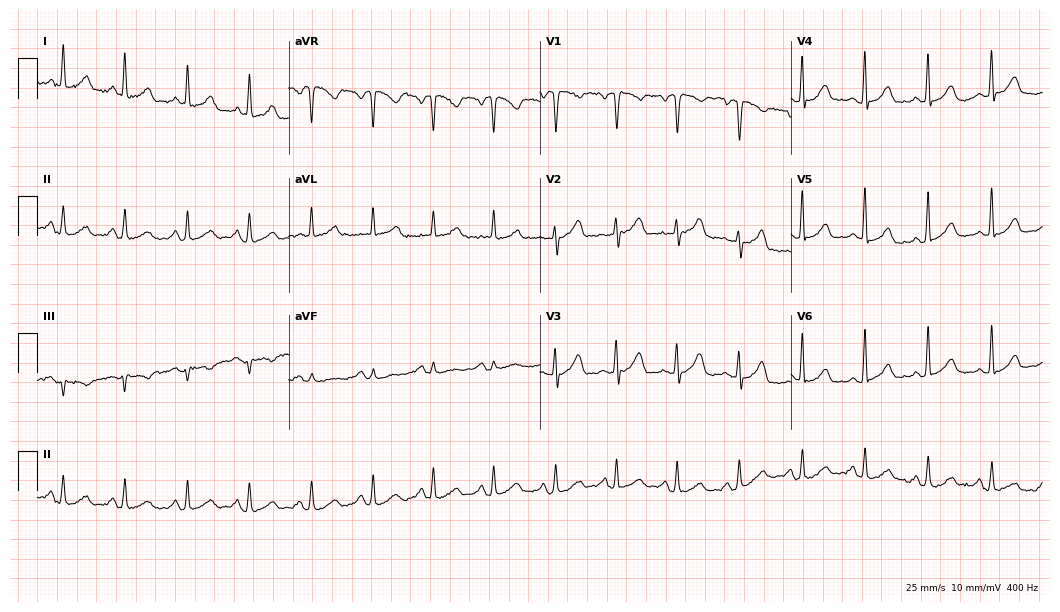
Standard 12-lead ECG recorded from a female patient, 46 years old (10.2-second recording at 400 Hz). Read as a normal ECG.